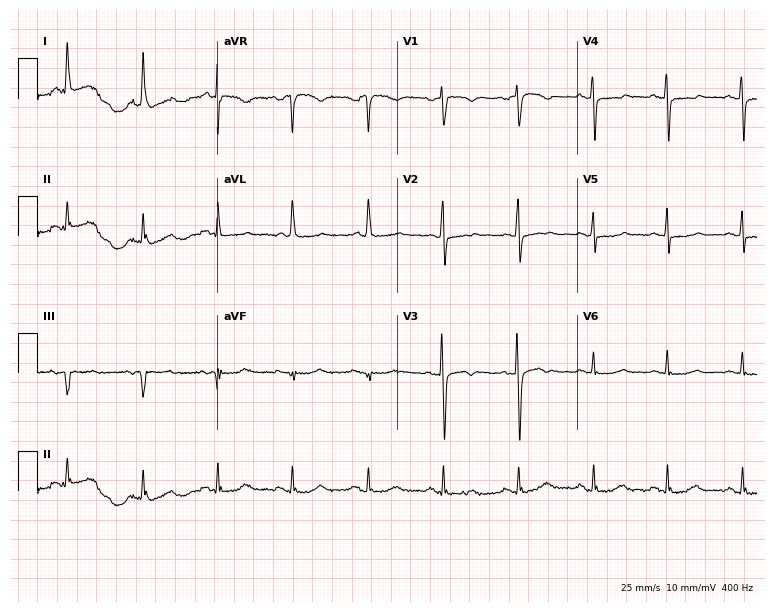
Electrocardiogram (7.3-second recording at 400 Hz), a 61-year-old female patient. Of the six screened findings (first-degree AV block, right bundle branch block, left bundle branch block, sinus bradycardia, atrial fibrillation, sinus tachycardia), none is recorded. Only these six findings were labelled.